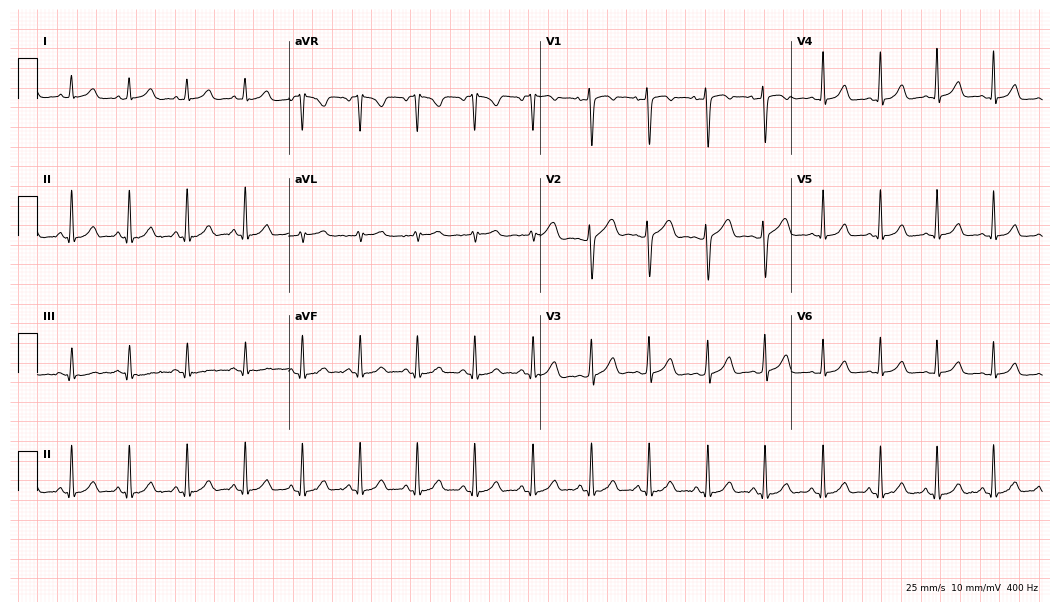
Standard 12-lead ECG recorded from a 27-year-old female patient (10.2-second recording at 400 Hz). The tracing shows sinus tachycardia (a sinus rate of 100 beats per minute or more).